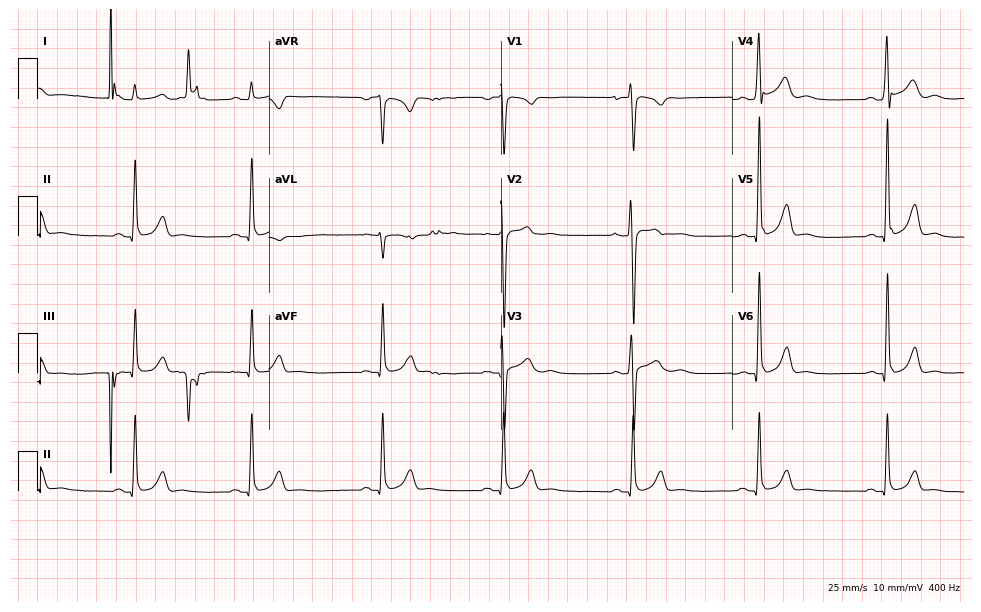
Standard 12-lead ECG recorded from a male, 35 years old (9.4-second recording at 400 Hz). None of these six findings is recorded: first-degree AV block, right bundle branch block (RBBB), left bundle branch block (LBBB), sinus bradycardia, atrial fibrillation (AF), sinus tachycardia. Only these six findings were labelled.